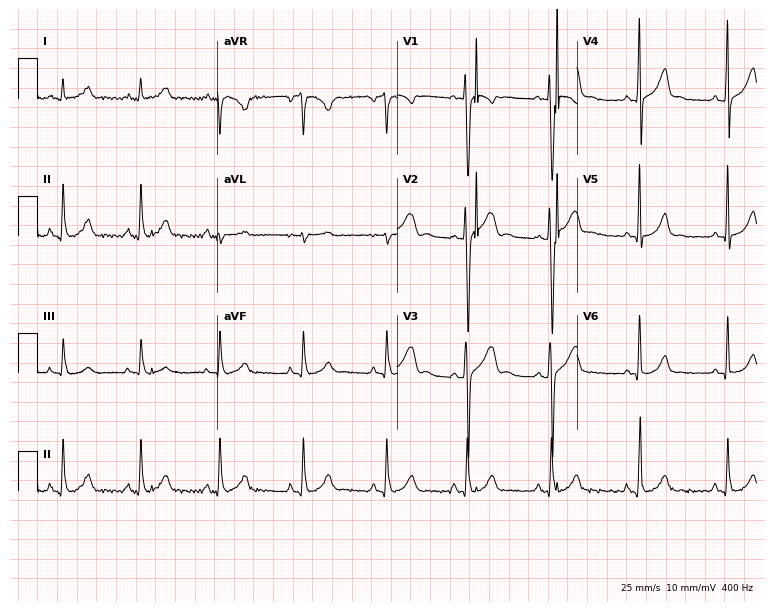
12-lead ECG from an 18-year-old male. Labelled as a normal ECG.